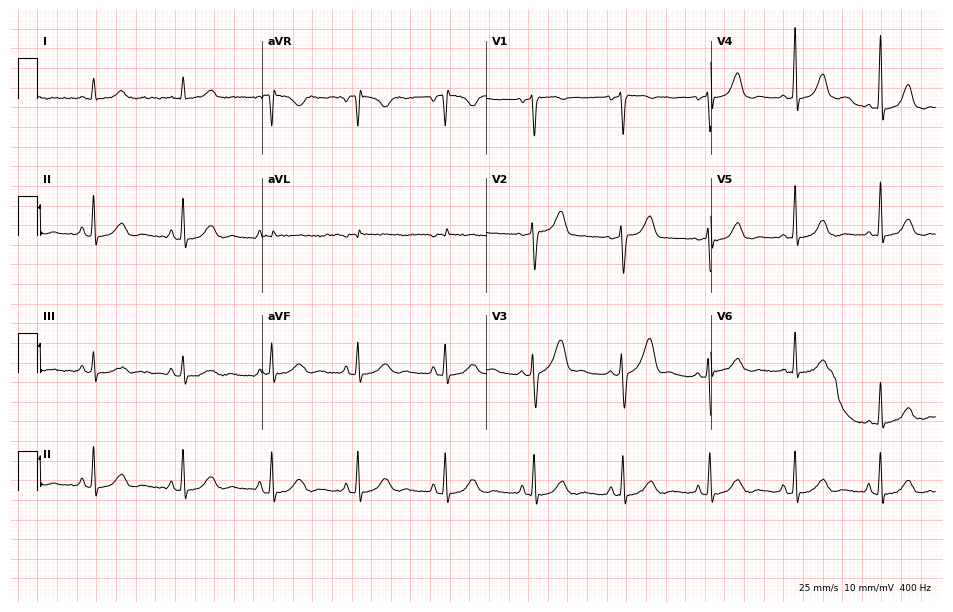
Resting 12-lead electrocardiogram (9.2-second recording at 400 Hz). Patient: a female, 42 years old. None of these six findings is recorded: first-degree AV block, right bundle branch block, left bundle branch block, sinus bradycardia, atrial fibrillation, sinus tachycardia.